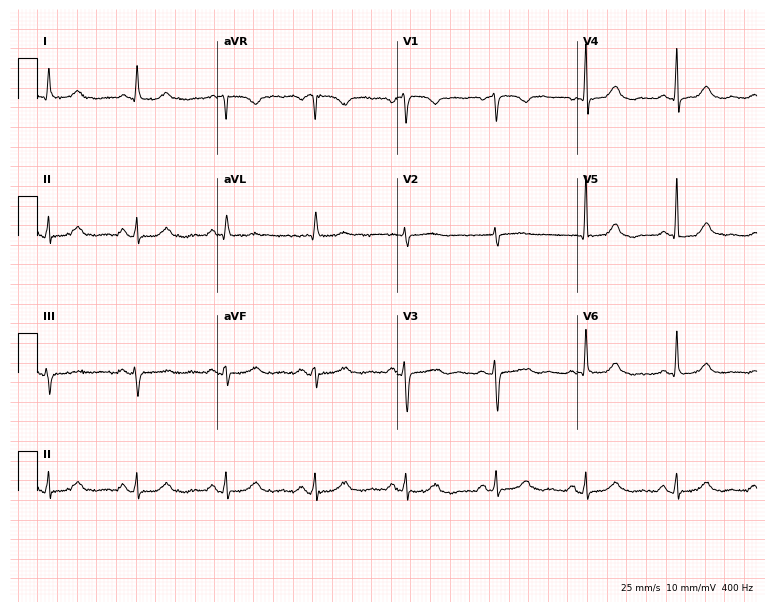
Standard 12-lead ECG recorded from a 78-year-old female patient (7.3-second recording at 400 Hz). Read as a normal ECG.